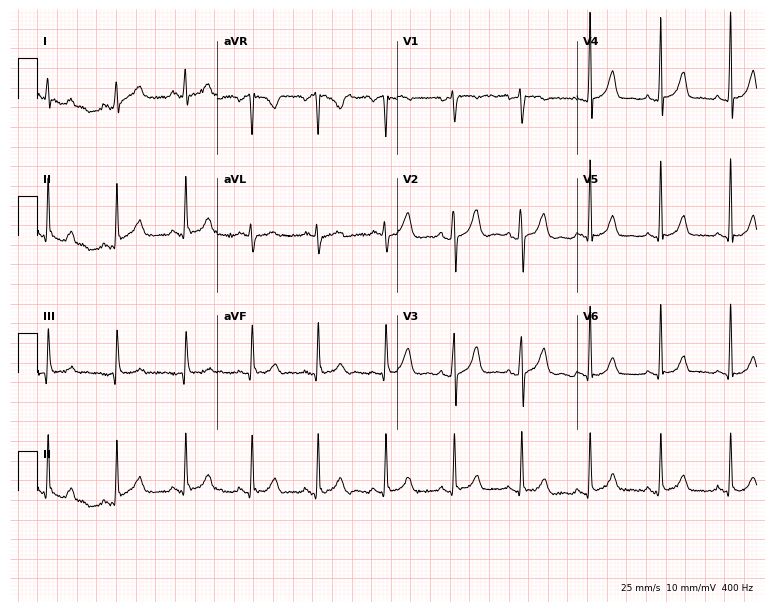
ECG (7.3-second recording at 400 Hz) — a female, 34 years old. Screened for six findings — first-degree AV block, right bundle branch block, left bundle branch block, sinus bradycardia, atrial fibrillation, sinus tachycardia — none is recorded.